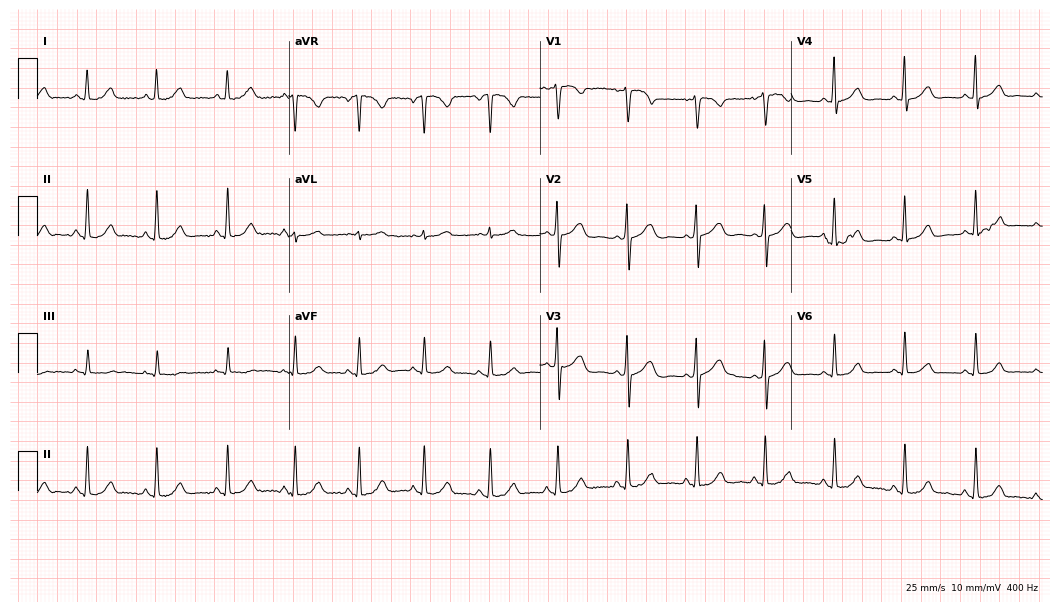
Electrocardiogram (10.2-second recording at 400 Hz), a 31-year-old female. Of the six screened findings (first-degree AV block, right bundle branch block, left bundle branch block, sinus bradycardia, atrial fibrillation, sinus tachycardia), none is recorded.